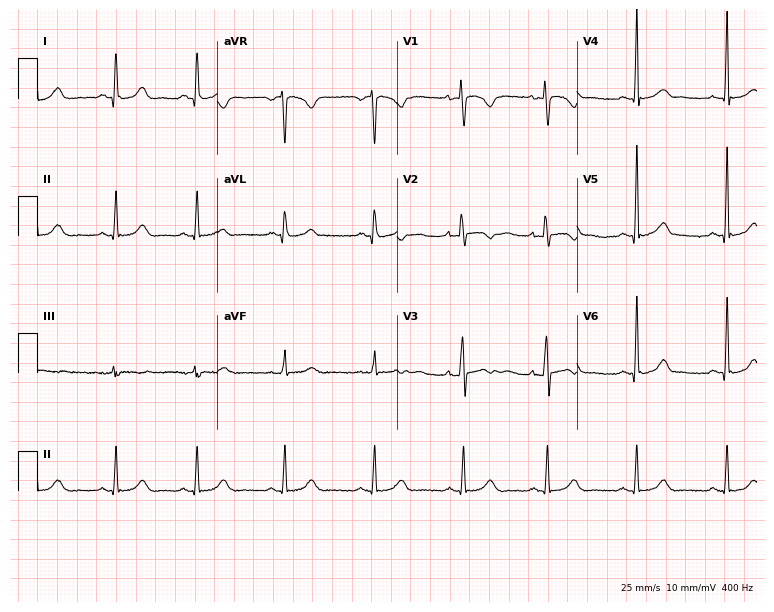
12-lead ECG from a female patient, 24 years old. Labelled as a normal ECG.